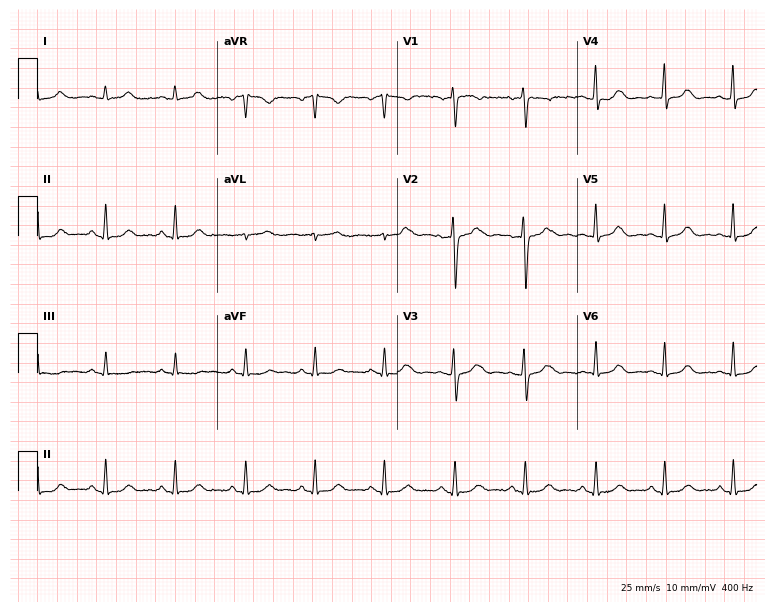
12-lead ECG from a 24-year-old woman. No first-degree AV block, right bundle branch block, left bundle branch block, sinus bradycardia, atrial fibrillation or sinus tachycardia recorded for this tracing.